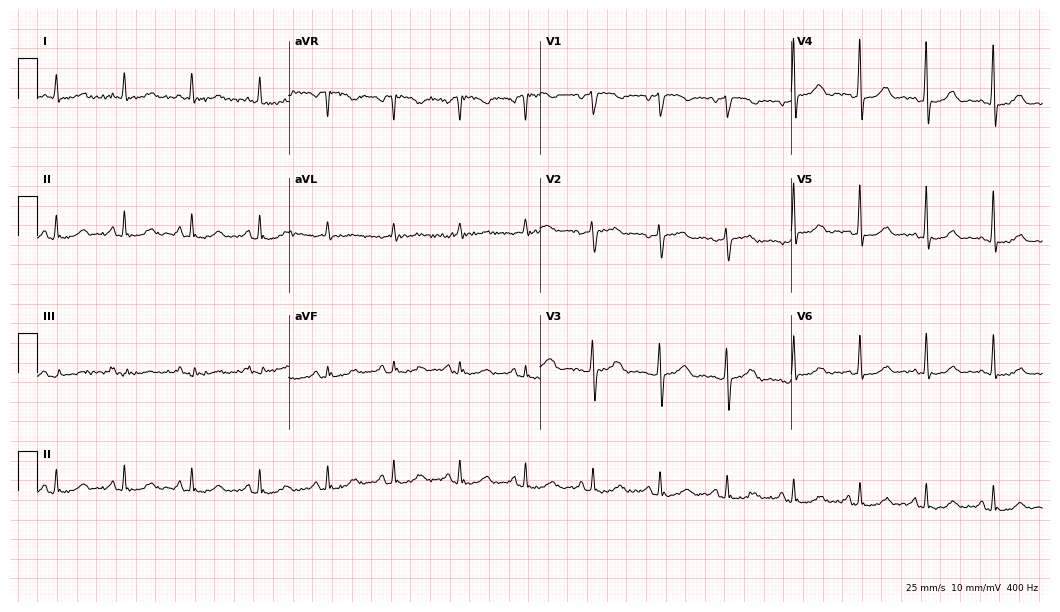
12-lead ECG from a female, 66 years old. Screened for six findings — first-degree AV block, right bundle branch block (RBBB), left bundle branch block (LBBB), sinus bradycardia, atrial fibrillation (AF), sinus tachycardia — none is recorded. Findings outside these six are not listed.